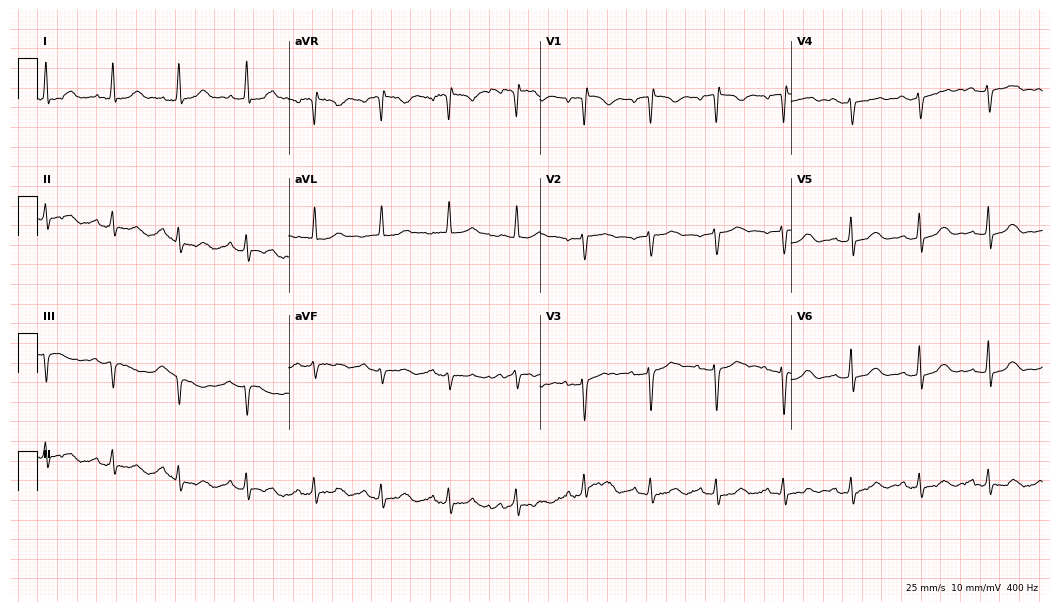
12-lead ECG from a female patient, 75 years old. Recorded interpretation: within normal limits.